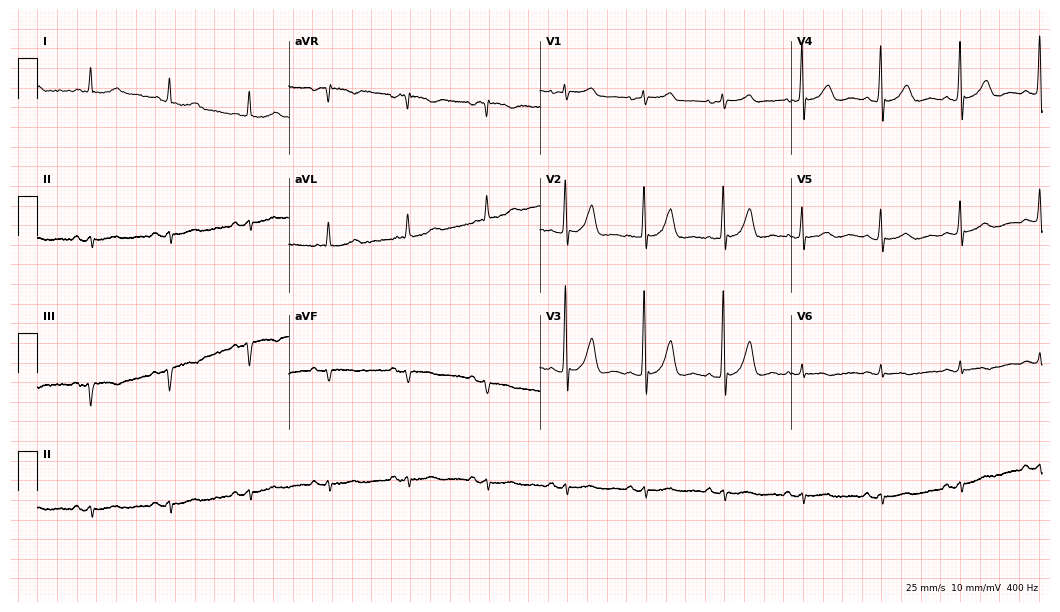
Resting 12-lead electrocardiogram. Patient: a man, 73 years old. None of these six findings is recorded: first-degree AV block, right bundle branch block, left bundle branch block, sinus bradycardia, atrial fibrillation, sinus tachycardia.